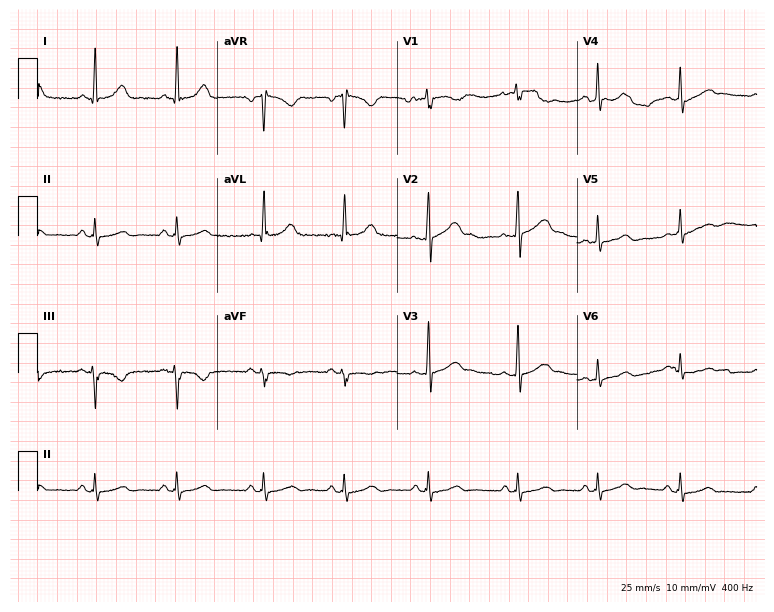
Resting 12-lead electrocardiogram. Patient: a female, 31 years old. Read as a normal ECG.